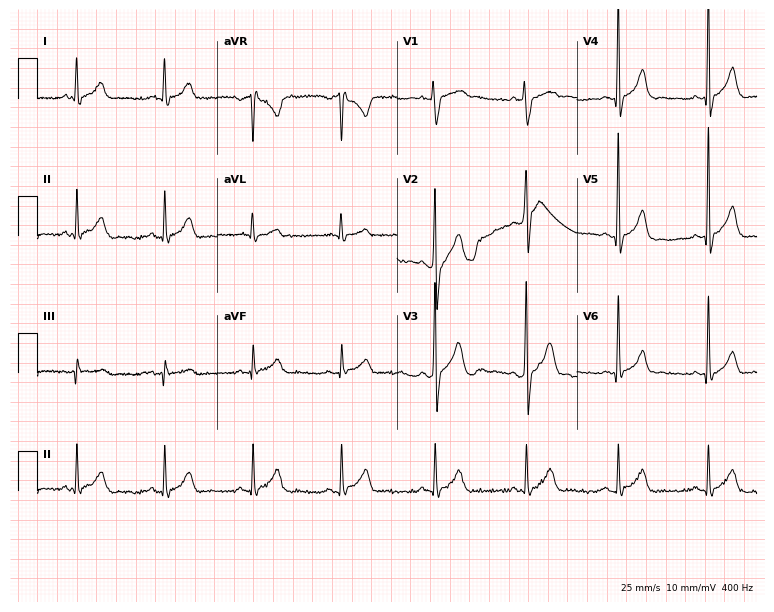
Resting 12-lead electrocardiogram (7.3-second recording at 400 Hz). Patient: a male, 32 years old. Read as a normal ECG.